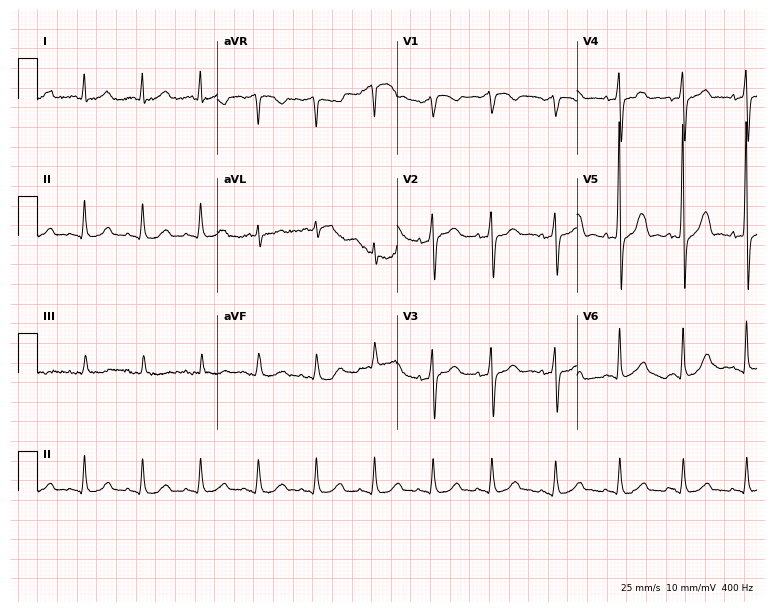
ECG (7.3-second recording at 400 Hz) — a female patient, 78 years old. Labelled as a normal ECG.